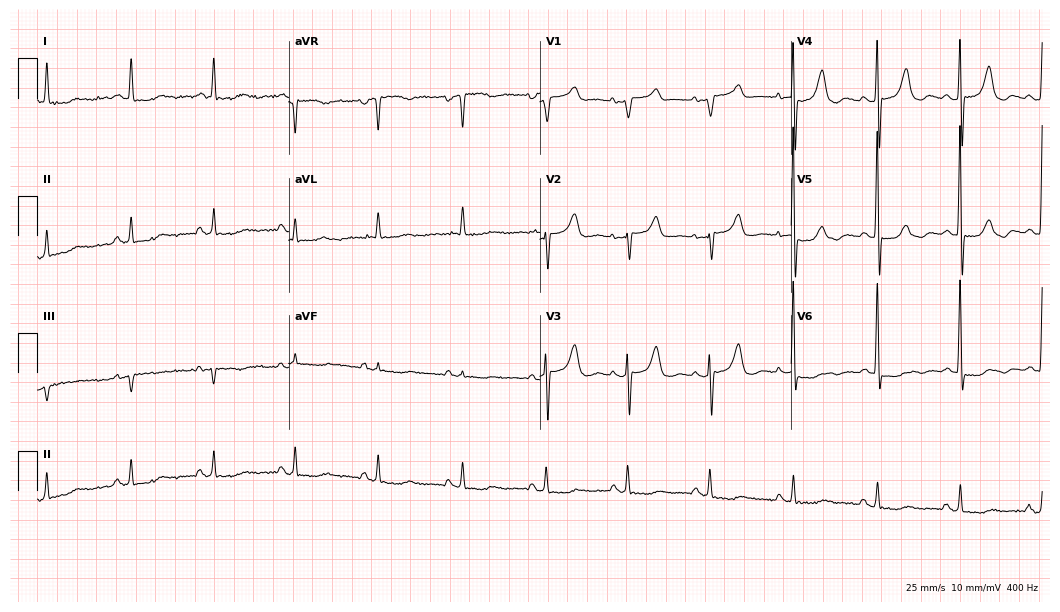
Electrocardiogram (10.2-second recording at 400 Hz), an 84-year-old woman. Overall reading on record: normal ECG.